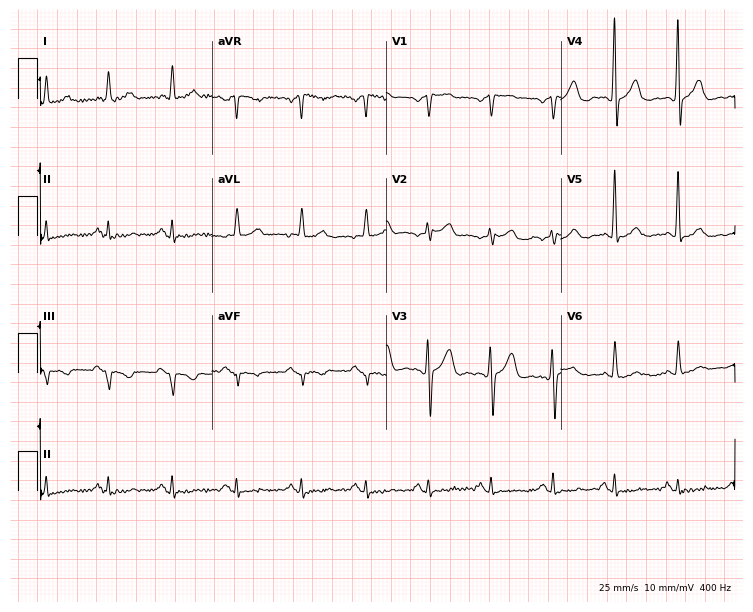
Standard 12-lead ECG recorded from a male, 53 years old (7.1-second recording at 400 Hz). None of these six findings is recorded: first-degree AV block, right bundle branch block, left bundle branch block, sinus bradycardia, atrial fibrillation, sinus tachycardia.